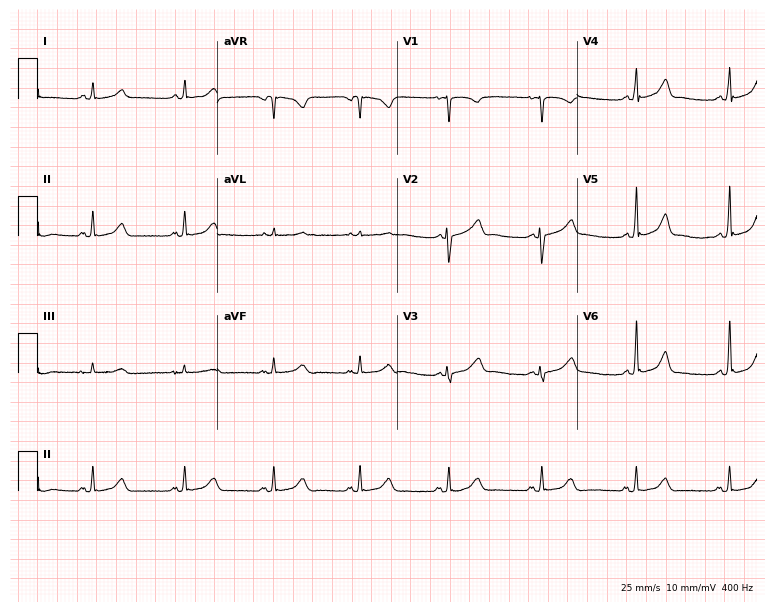
Electrocardiogram, a 31-year-old woman. Of the six screened findings (first-degree AV block, right bundle branch block, left bundle branch block, sinus bradycardia, atrial fibrillation, sinus tachycardia), none is recorded. Other findings, if any, are not listed.